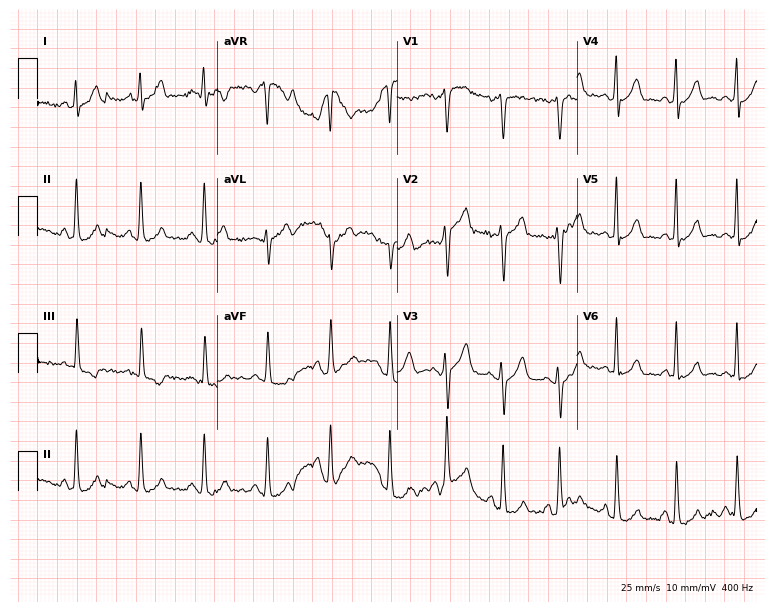
Resting 12-lead electrocardiogram (7.3-second recording at 400 Hz). Patient: a 20-year-old female. None of these six findings is recorded: first-degree AV block, right bundle branch block (RBBB), left bundle branch block (LBBB), sinus bradycardia, atrial fibrillation (AF), sinus tachycardia. Other findings, if any, are not listed.